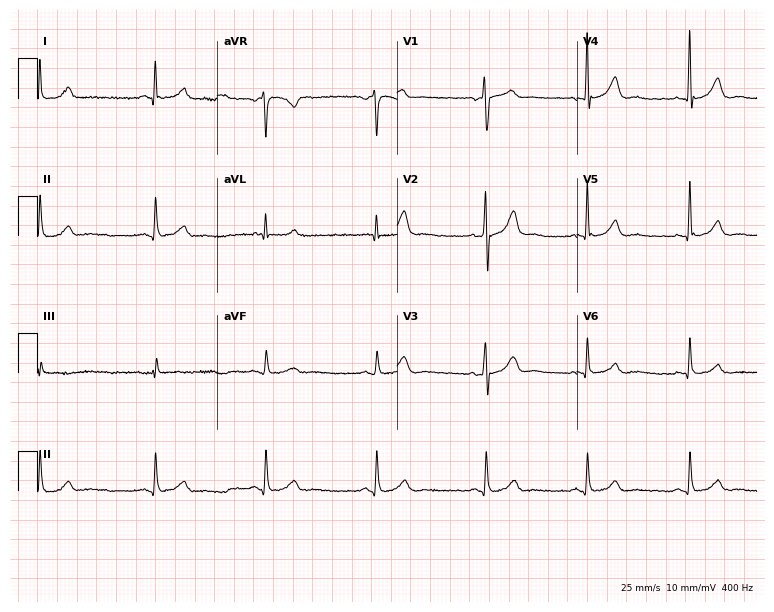
Electrocardiogram (7.3-second recording at 400 Hz), a 63-year-old male. Of the six screened findings (first-degree AV block, right bundle branch block (RBBB), left bundle branch block (LBBB), sinus bradycardia, atrial fibrillation (AF), sinus tachycardia), none is recorded. Other findings, if any, are not listed.